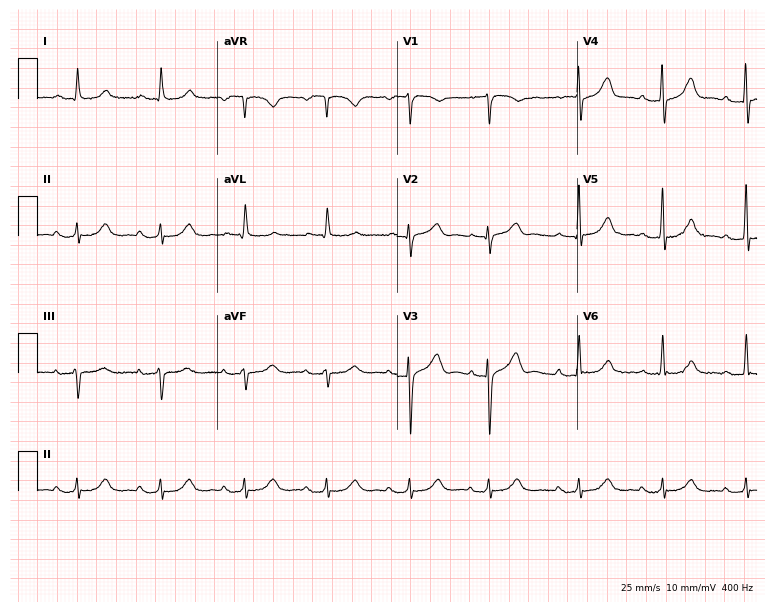
ECG (7.3-second recording at 400 Hz) — a male patient, 80 years old. Labelled as a normal ECG.